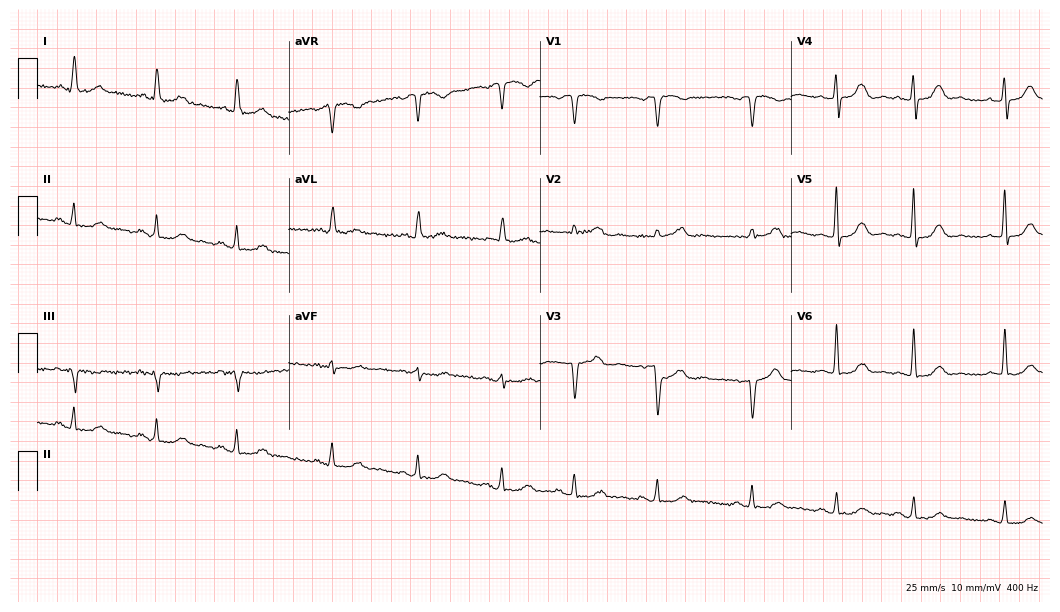
12-lead ECG from a woman, 81 years old. No first-degree AV block, right bundle branch block, left bundle branch block, sinus bradycardia, atrial fibrillation or sinus tachycardia recorded for this tracing. Other findings, if any, are not listed.